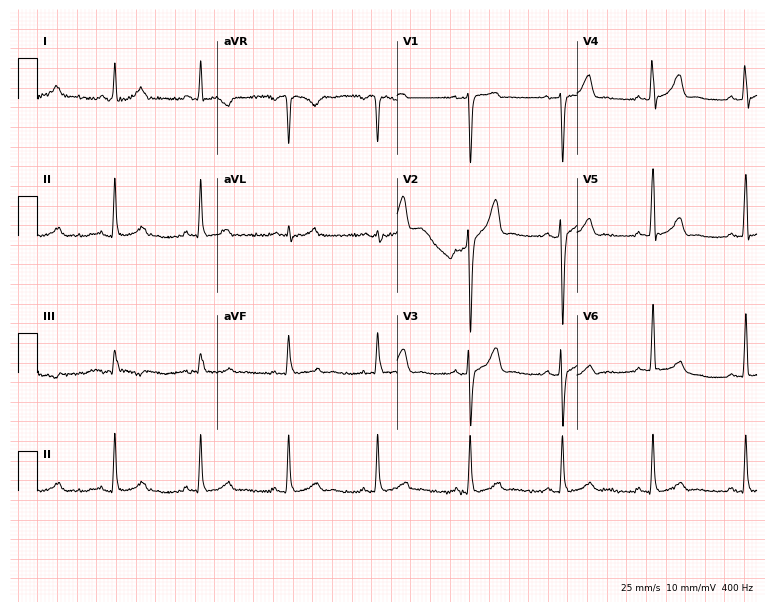
Electrocardiogram, a 42-year-old male. Overall reading on record: normal ECG.